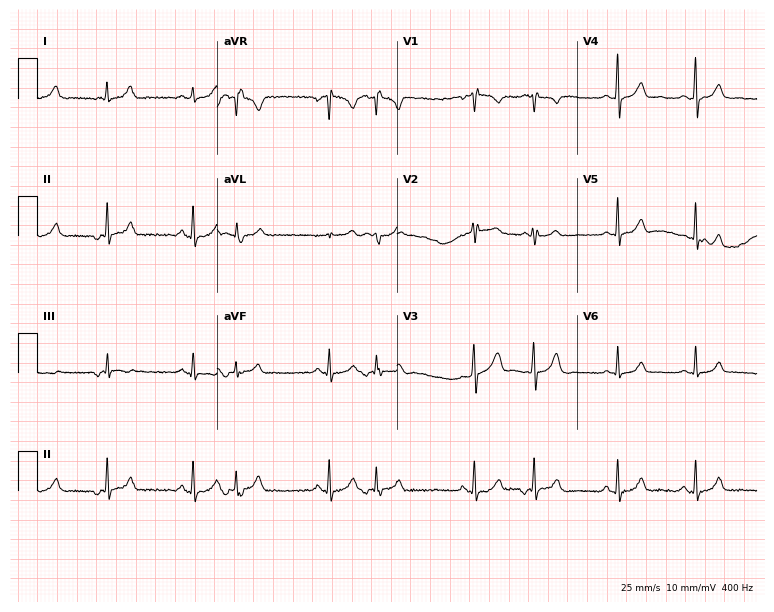
Standard 12-lead ECG recorded from a 26-year-old woman (7.3-second recording at 400 Hz). None of these six findings is recorded: first-degree AV block, right bundle branch block, left bundle branch block, sinus bradycardia, atrial fibrillation, sinus tachycardia.